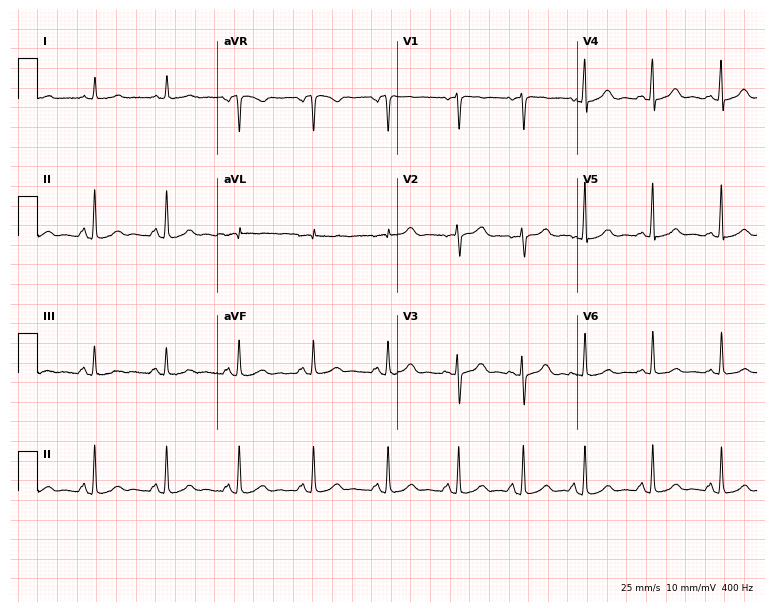
Electrocardiogram, a 38-year-old woman. Of the six screened findings (first-degree AV block, right bundle branch block (RBBB), left bundle branch block (LBBB), sinus bradycardia, atrial fibrillation (AF), sinus tachycardia), none is recorded. Other findings, if any, are not listed.